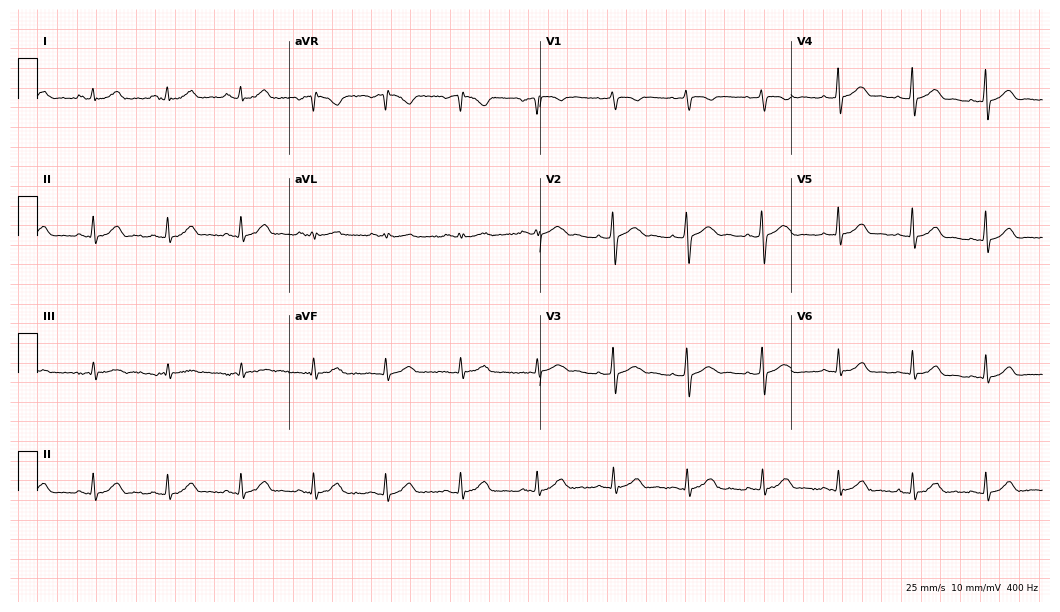
ECG (10.2-second recording at 400 Hz) — a female, 24 years old. Labelled as a normal ECG.